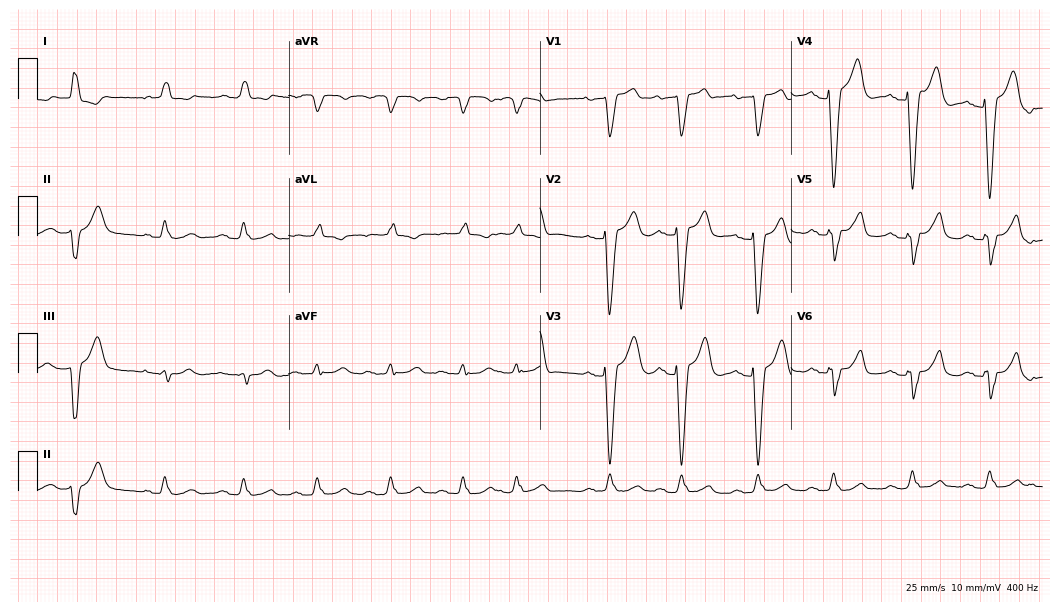
Standard 12-lead ECG recorded from a male patient, 84 years old (10.2-second recording at 400 Hz). The tracing shows left bundle branch block.